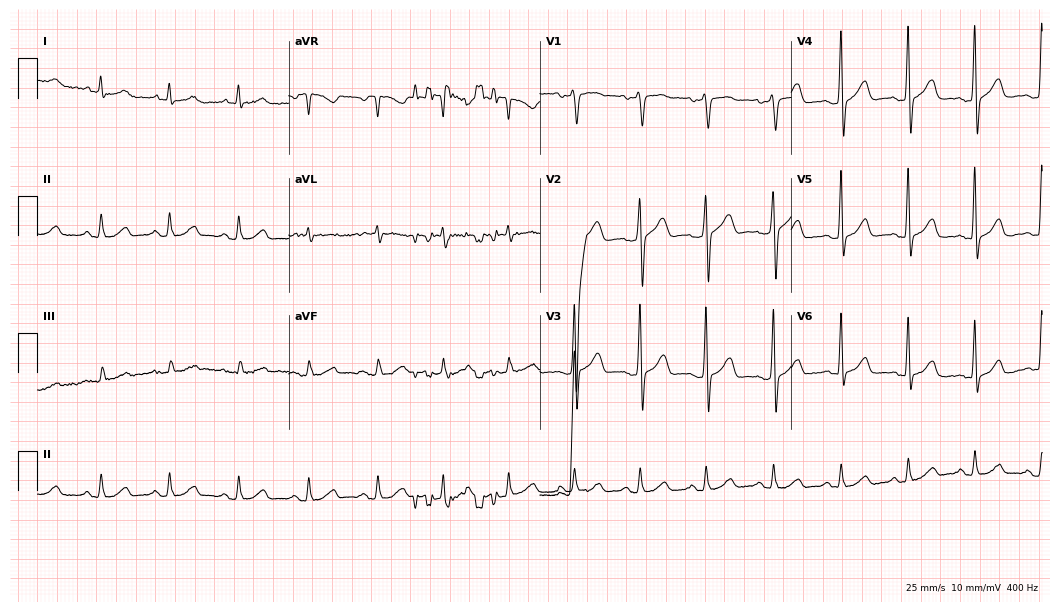
12-lead ECG from a 51-year-old male patient (10.2-second recording at 400 Hz). Recorded interpretation: within normal limits.